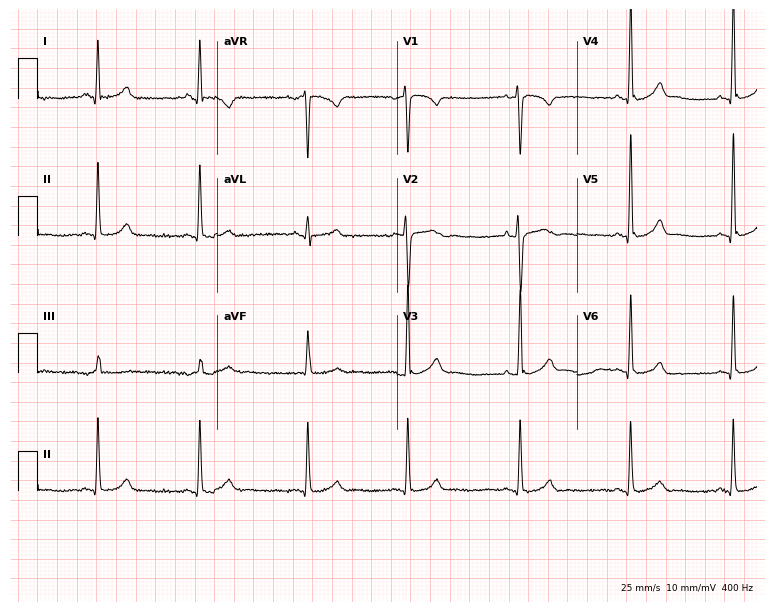
Standard 12-lead ECG recorded from a female patient, 33 years old (7.3-second recording at 400 Hz). Read as a normal ECG.